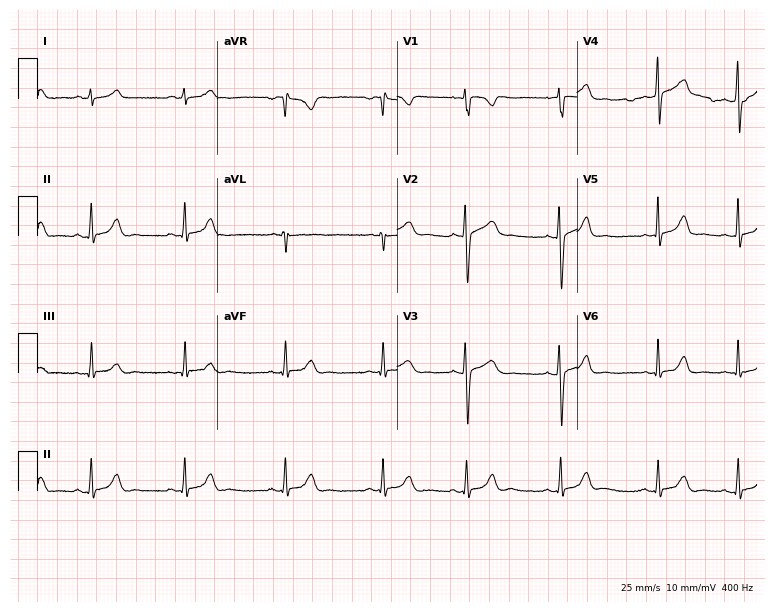
12-lead ECG from a female, 20 years old. Recorded interpretation: within normal limits.